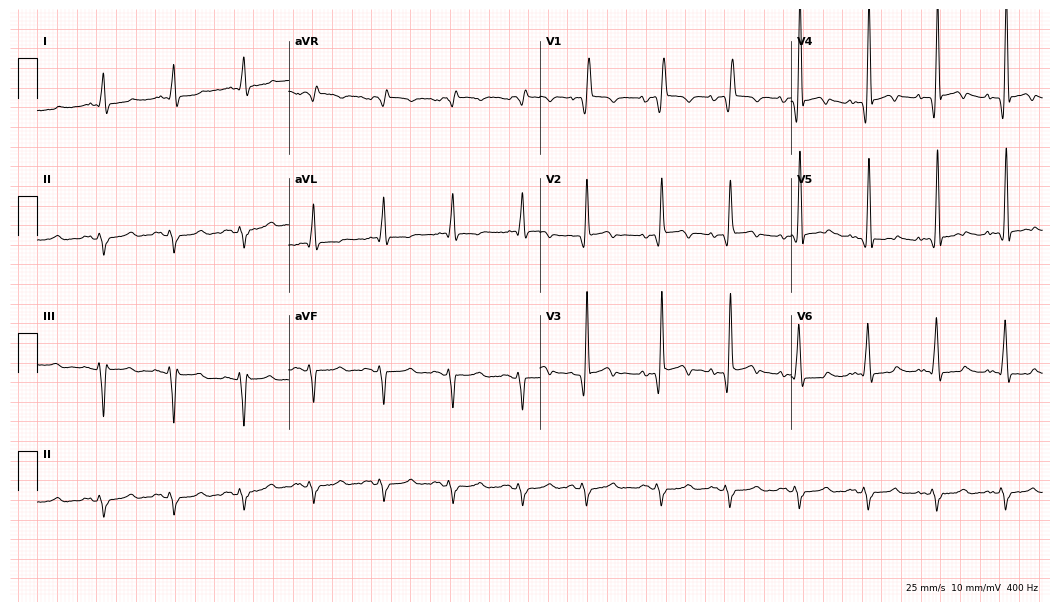
Electrocardiogram (10.2-second recording at 400 Hz), a 69-year-old man. Of the six screened findings (first-degree AV block, right bundle branch block, left bundle branch block, sinus bradycardia, atrial fibrillation, sinus tachycardia), none is recorded. Other findings, if any, are not listed.